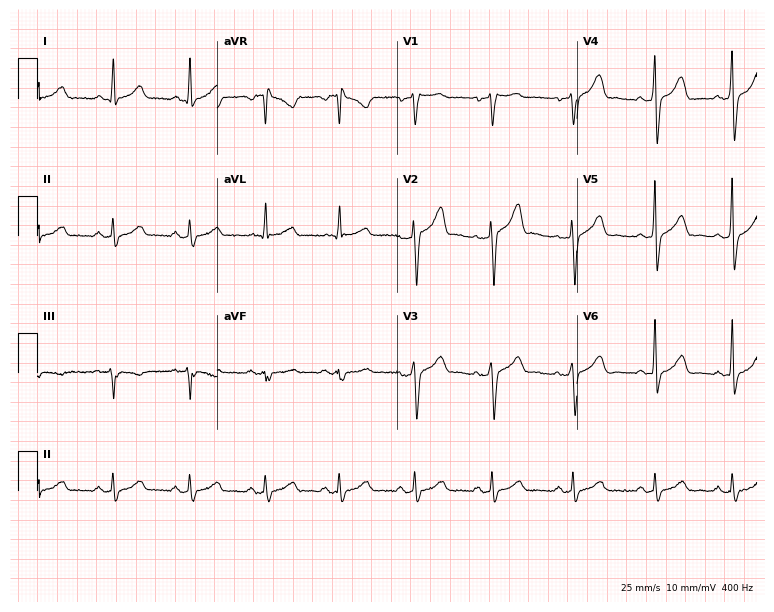
12-lead ECG (7.3-second recording at 400 Hz) from a male patient, 34 years old. Labelled as a normal ECG.